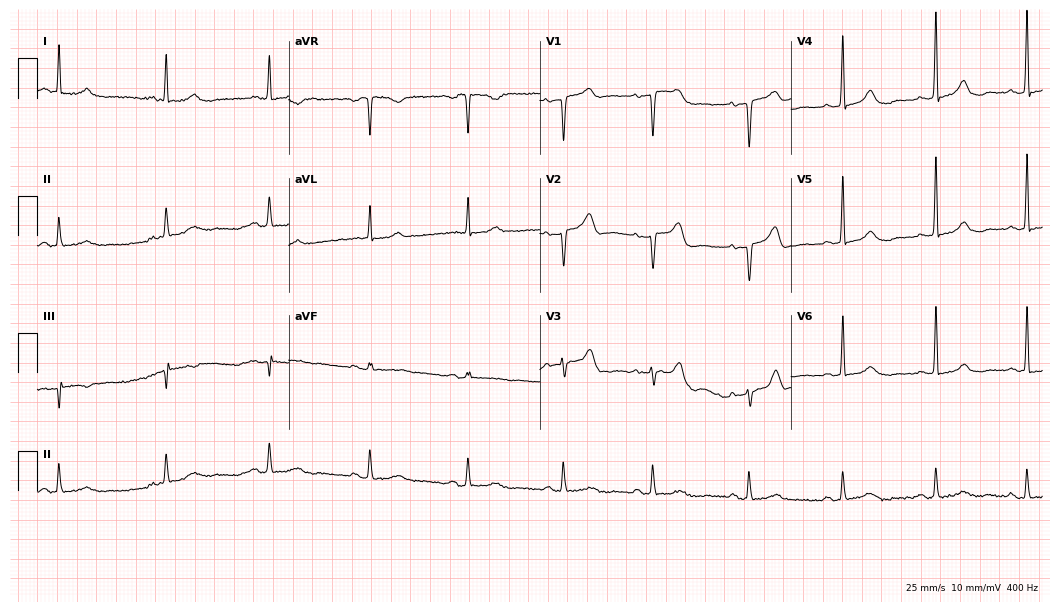
Standard 12-lead ECG recorded from an 83-year-old female patient. None of these six findings is recorded: first-degree AV block, right bundle branch block (RBBB), left bundle branch block (LBBB), sinus bradycardia, atrial fibrillation (AF), sinus tachycardia.